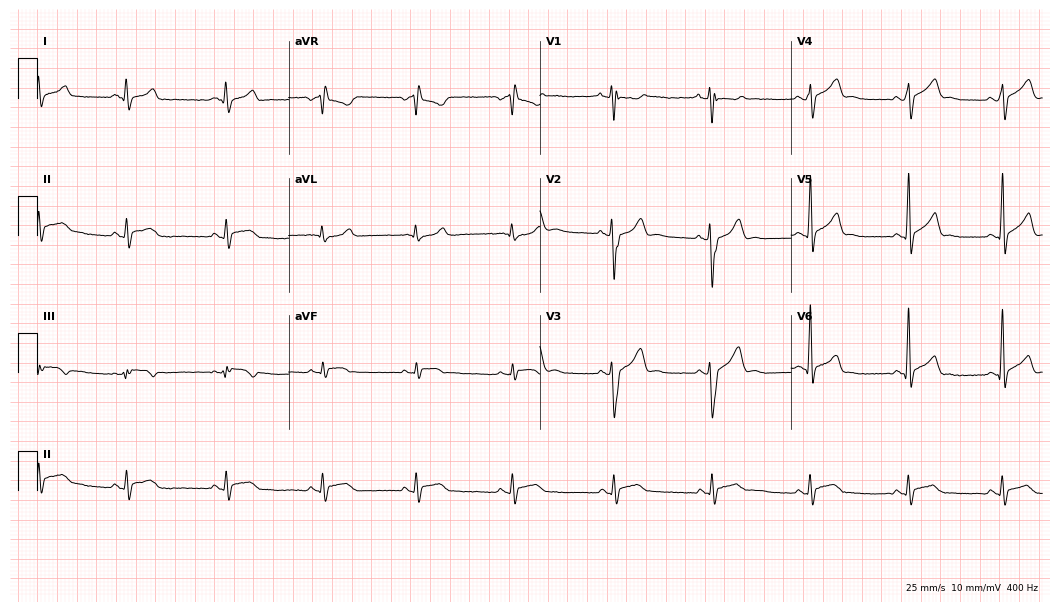
Standard 12-lead ECG recorded from a male patient, 21 years old. Read as a normal ECG.